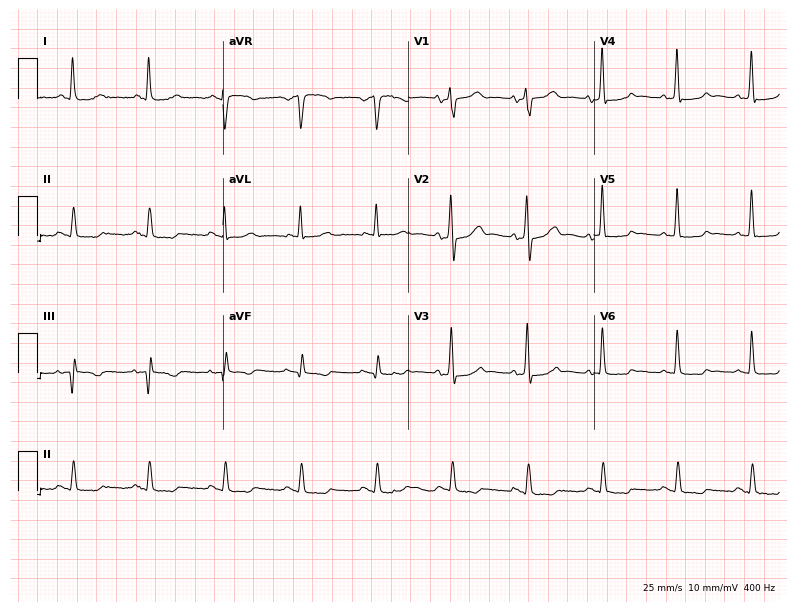
Electrocardiogram, a male, 66 years old. Of the six screened findings (first-degree AV block, right bundle branch block, left bundle branch block, sinus bradycardia, atrial fibrillation, sinus tachycardia), none is recorded.